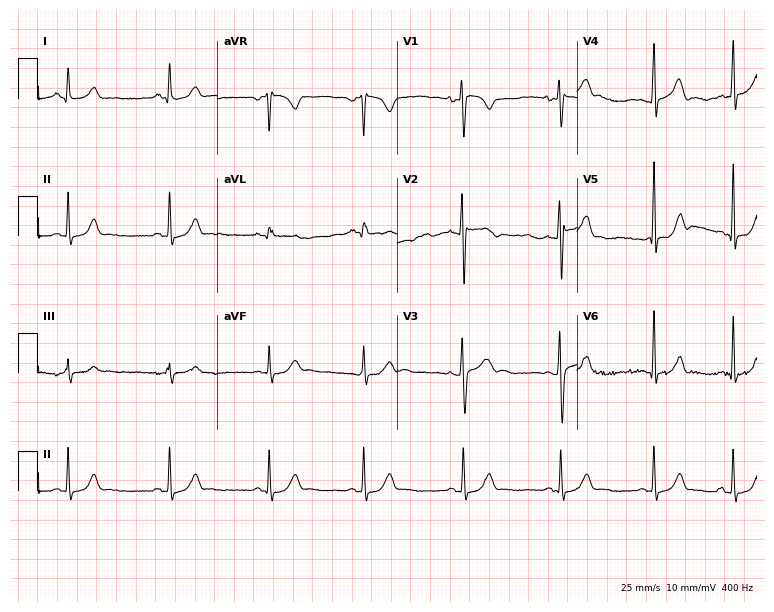
ECG — a 17-year-old male. Labelled as a normal ECG.